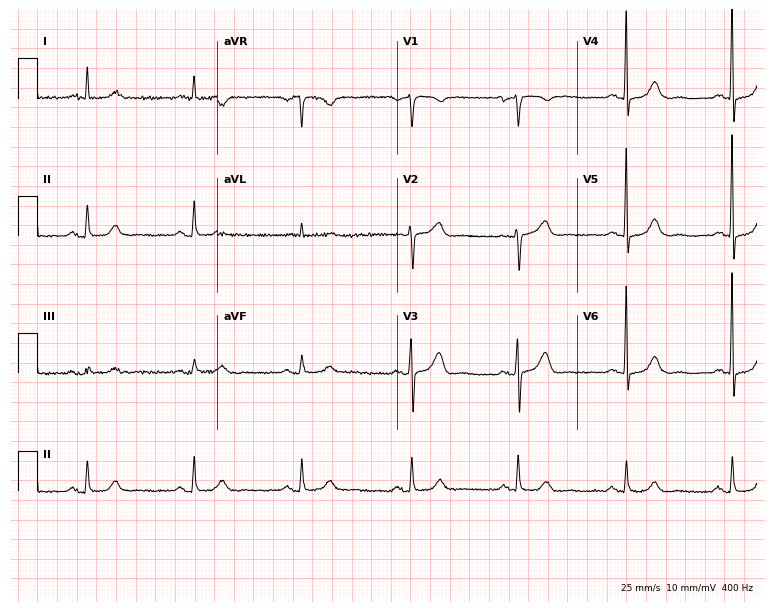
12-lead ECG from a 64-year-old female. Labelled as a normal ECG.